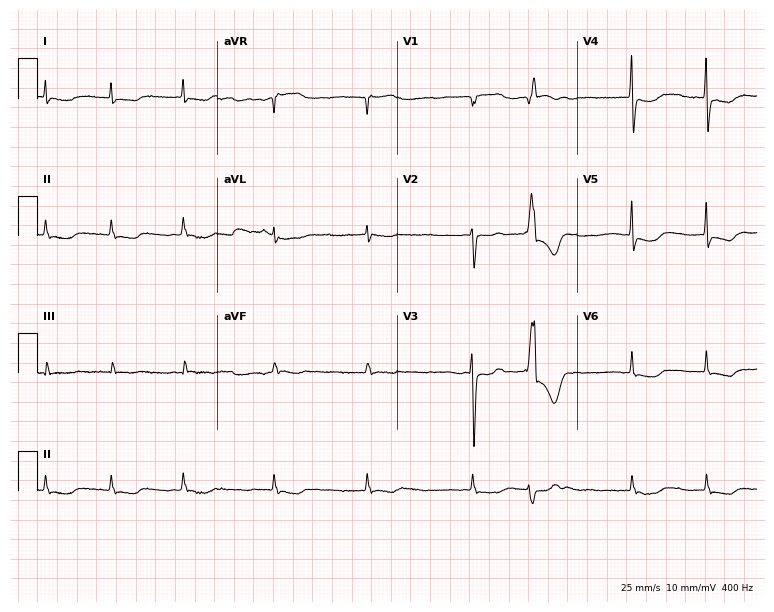
Resting 12-lead electrocardiogram. Patient: an 82-year-old female. The tracing shows atrial fibrillation.